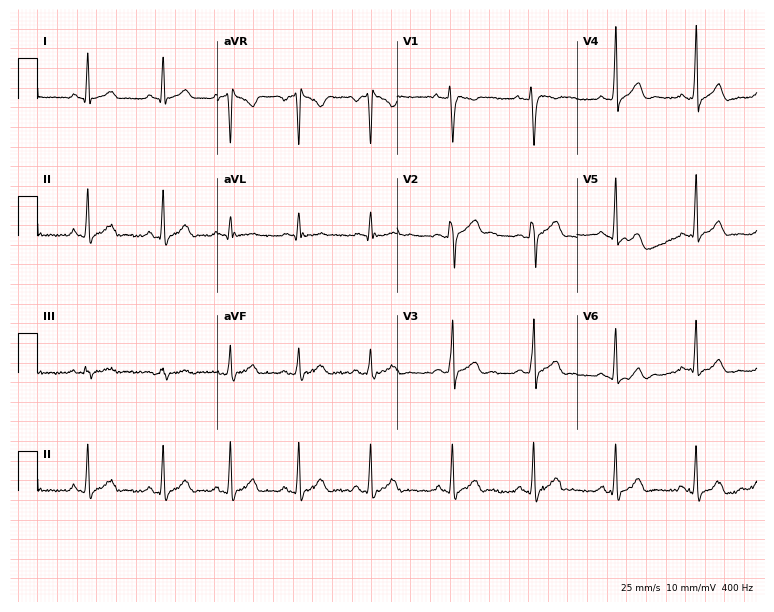
ECG (7.3-second recording at 400 Hz) — a 24-year-old male. Screened for six findings — first-degree AV block, right bundle branch block, left bundle branch block, sinus bradycardia, atrial fibrillation, sinus tachycardia — none is recorded.